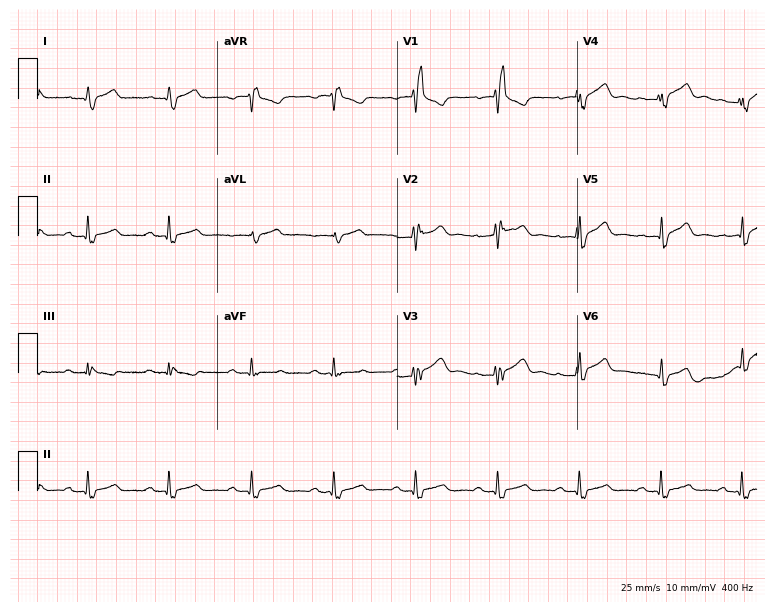
Electrocardiogram (7.3-second recording at 400 Hz), a male patient, 33 years old. Interpretation includes right bundle branch block.